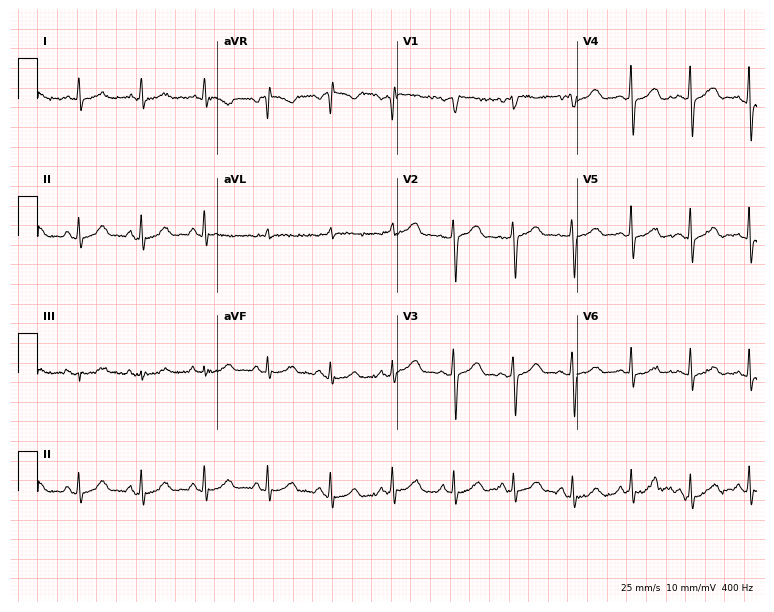
Resting 12-lead electrocardiogram. Patient: a 37-year-old female. Read as a normal ECG.